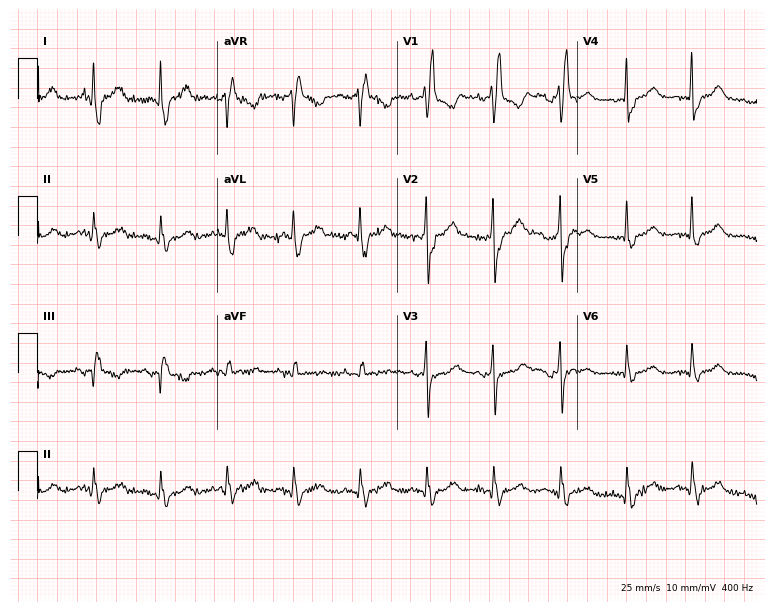
ECG — a 73-year-old woman. Findings include right bundle branch block (RBBB).